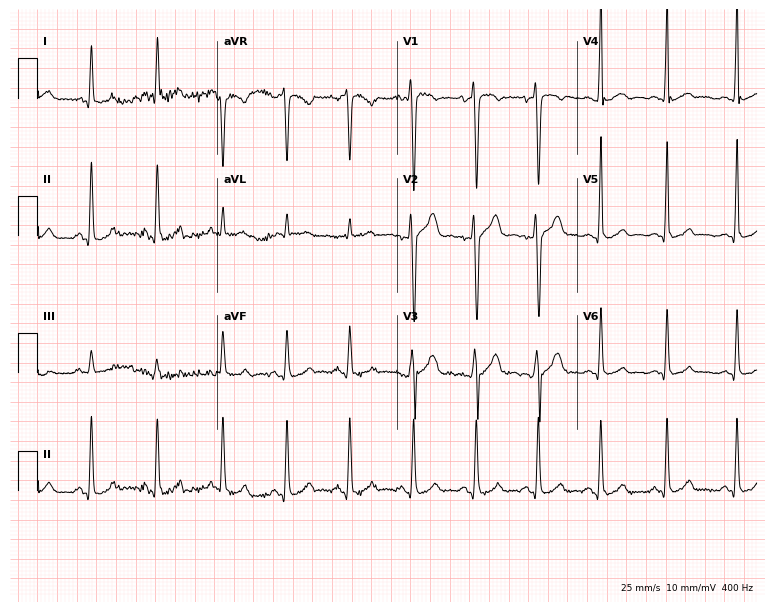
12-lead ECG from a 17-year-old male patient. Screened for six findings — first-degree AV block, right bundle branch block, left bundle branch block, sinus bradycardia, atrial fibrillation, sinus tachycardia — none is recorded. Findings outside these six are not listed.